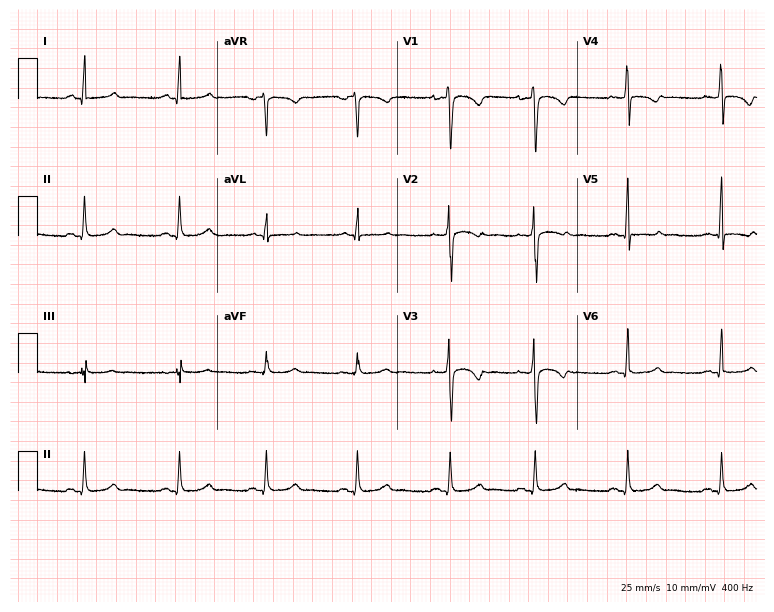
12-lead ECG from a female patient, 34 years old (7.3-second recording at 400 Hz). No first-degree AV block, right bundle branch block (RBBB), left bundle branch block (LBBB), sinus bradycardia, atrial fibrillation (AF) or sinus tachycardia recorded for this tracing.